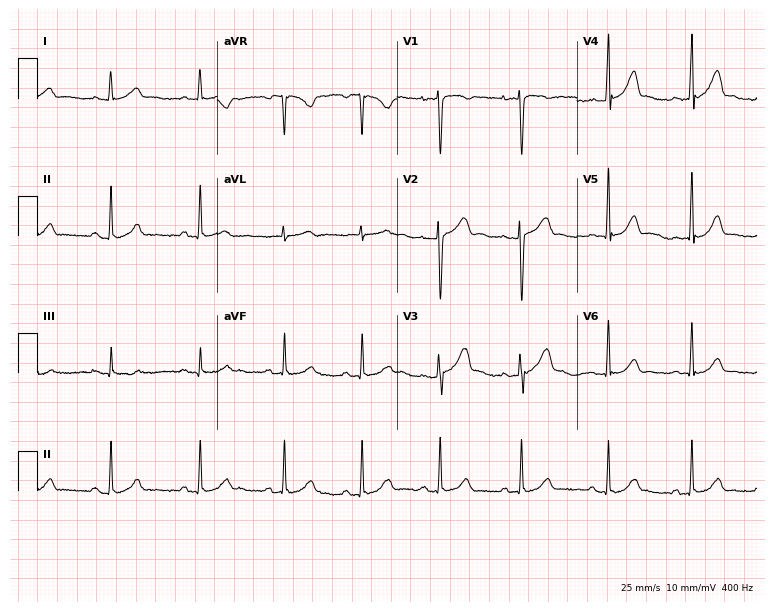
ECG (7.3-second recording at 400 Hz) — a 23-year-old female patient. Screened for six findings — first-degree AV block, right bundle branch block (RBBB), left bundle branch block (LBBB), sinus bradycardia, atrial fibrillation (AF), sinus tachycardia — none is recorded.